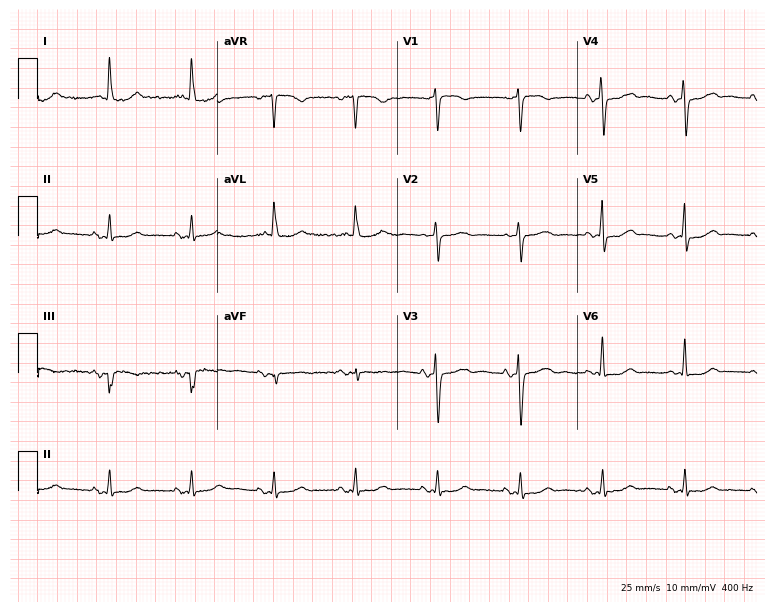
Electrocardiogram, a female patient, 82 years old. Of the six screened findings (first-degree AV block, right bundle branch block (RBBB), left bundle branch block (LBBB), sinus bradycardia, atrial fibrillation (AF), sinus tachycardia), none is recorded. Findings outside these six are not listed.